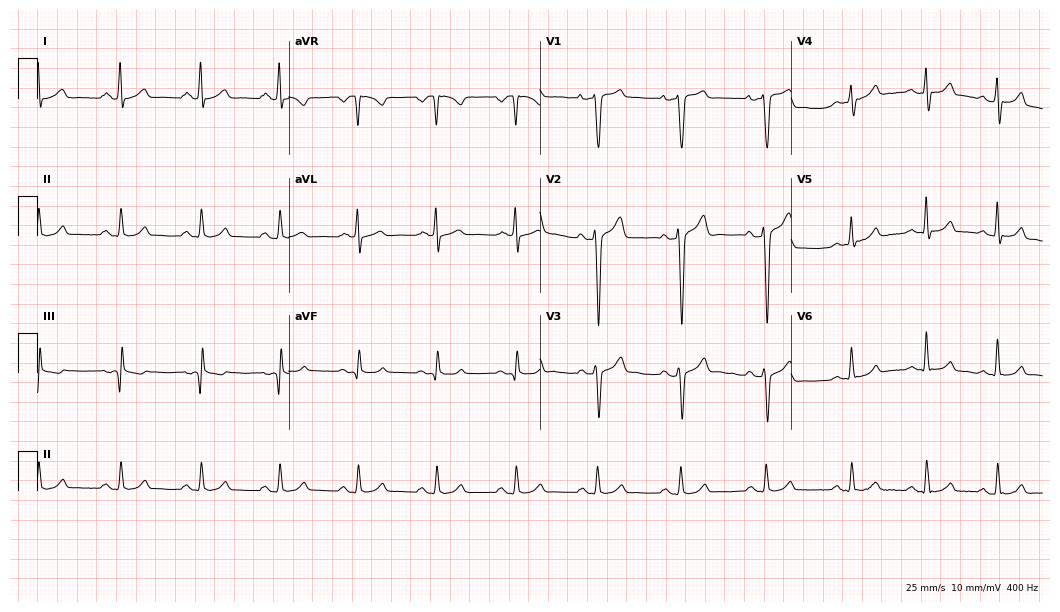
Resting 12-lead electrocardiogram (10.2-second recording at 400 Hz). Patient: a 23-year-old man. Read as a normal ECG.